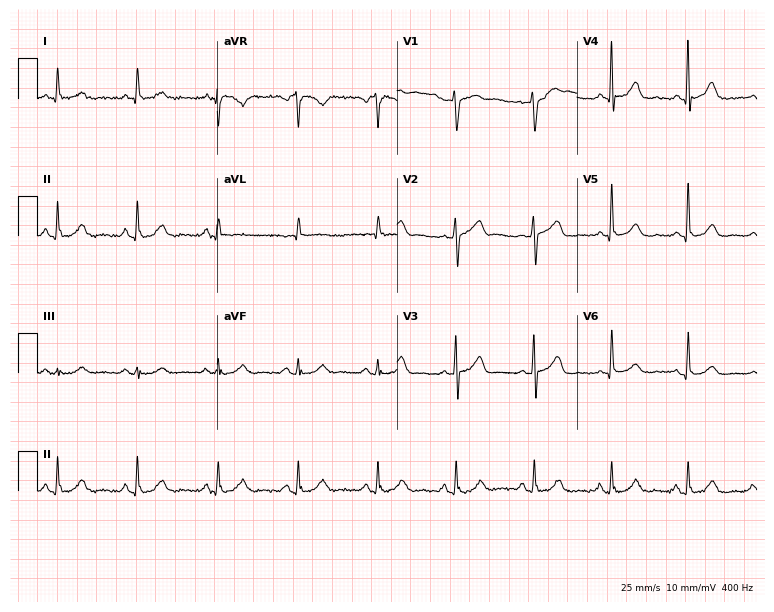
Electrocardiogram, a man, 74 years old. Of the six screened findings (first-degree AV block, right bundle branch block (RBBB), left bundle branch block (LBBB), sinus bradycardia, atrial fibrillation (AF), sinus tachycardia), none is recorded. Other findings, if any, are not listed.